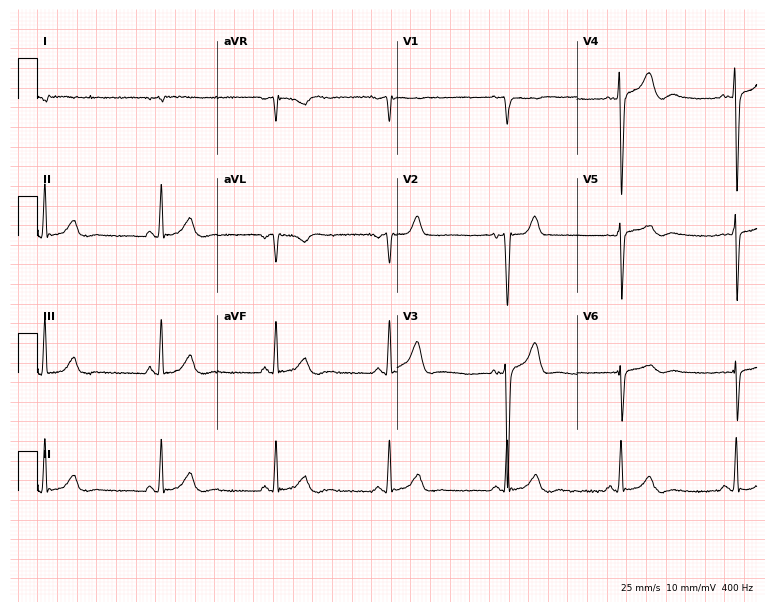
12-lead ECG from a man, 68 years old. No first-degree AV block, right bundle branch block, left bundle branch block, sinus bradycardia, atrial fibrillation or sinus tachycardia recorded for this tracing. Findings outside these six are not listed.